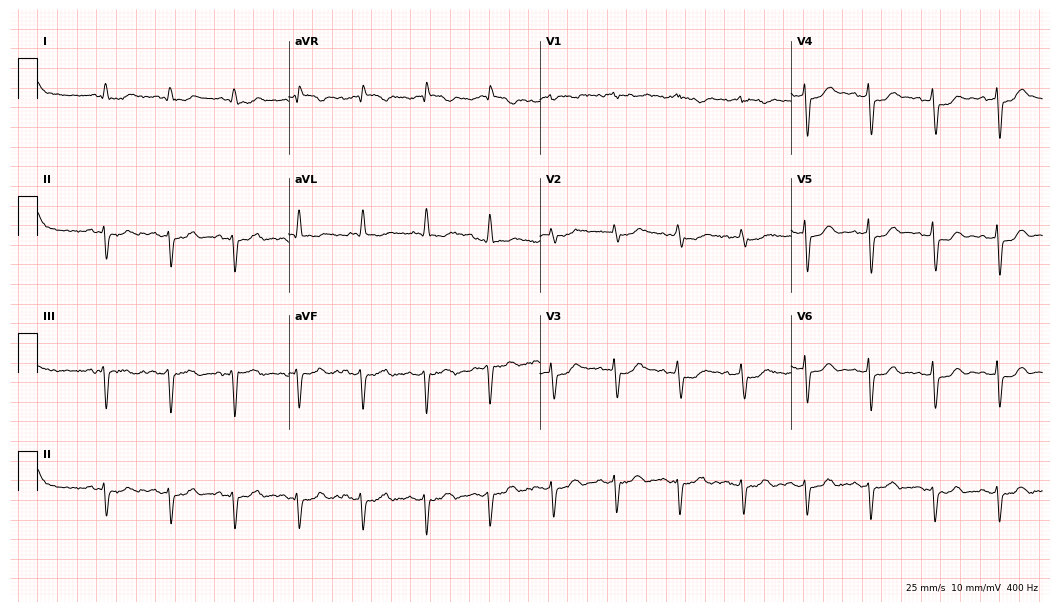
12-lead ECG from an 85-year-old male patient. Screened for six findings — first-degree AV block, right bundle branch block, left bundle branch block, sinus bradycardia, atrial fibrillation, sinus tachycardia — none is recorded.